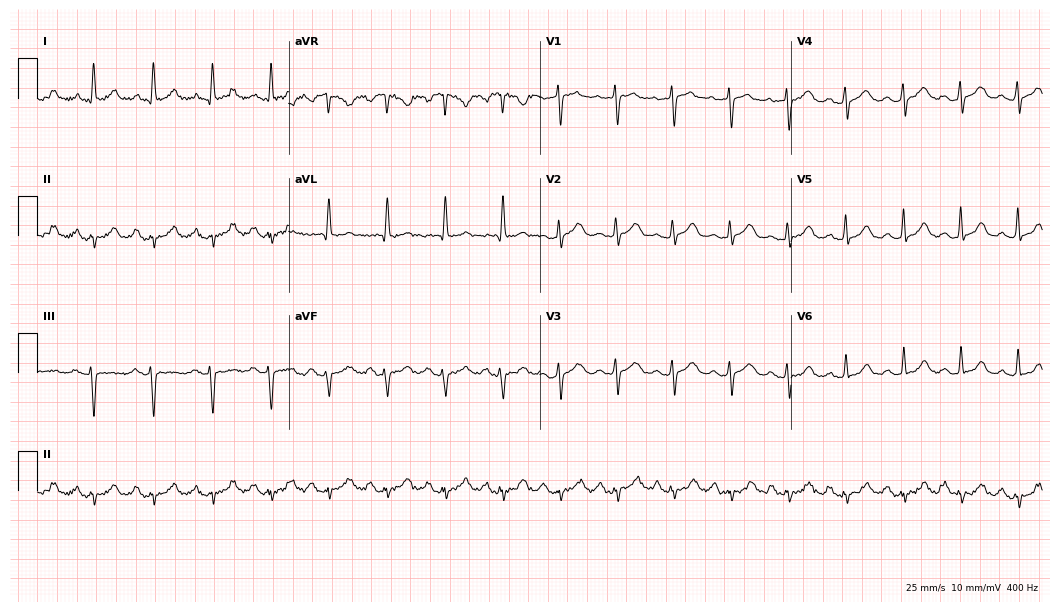
Electrocardiogram (10.2-second recording at 400 Hz), an 83-year-old female. Interpretation includes sinus tachycardia (a sinus rate of 100 beats per minute or more).